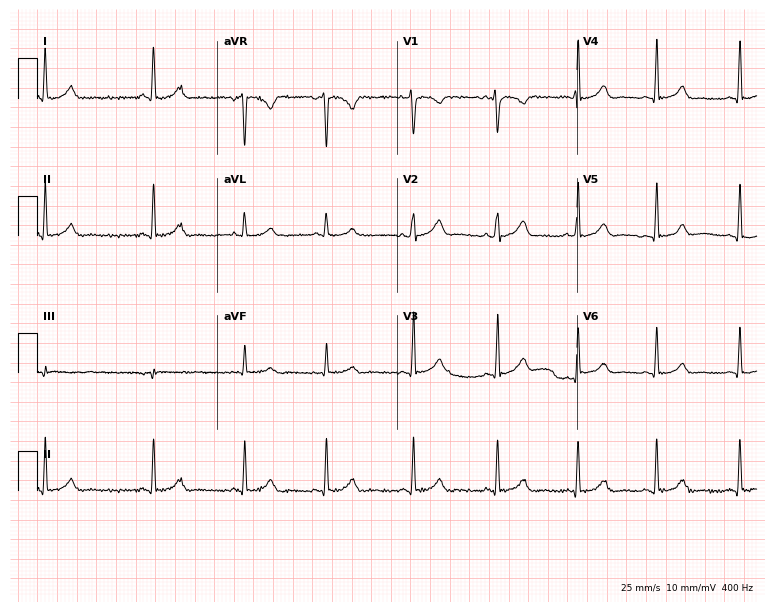
Electrocardiogram (7.3-second recording at 400 Hz), a female patient, 26 years old. Overall reading on record: normal ECG.